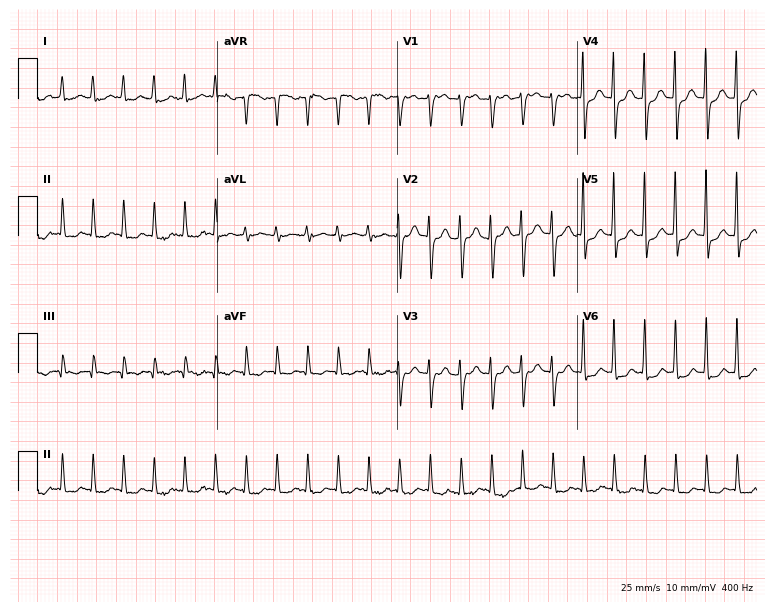
12-lead ECG from a female, 68 years old (7.3-second recording at 400 Hz). Shows sinus tachycardia (a sinus rate of 100 beats per minute or more).